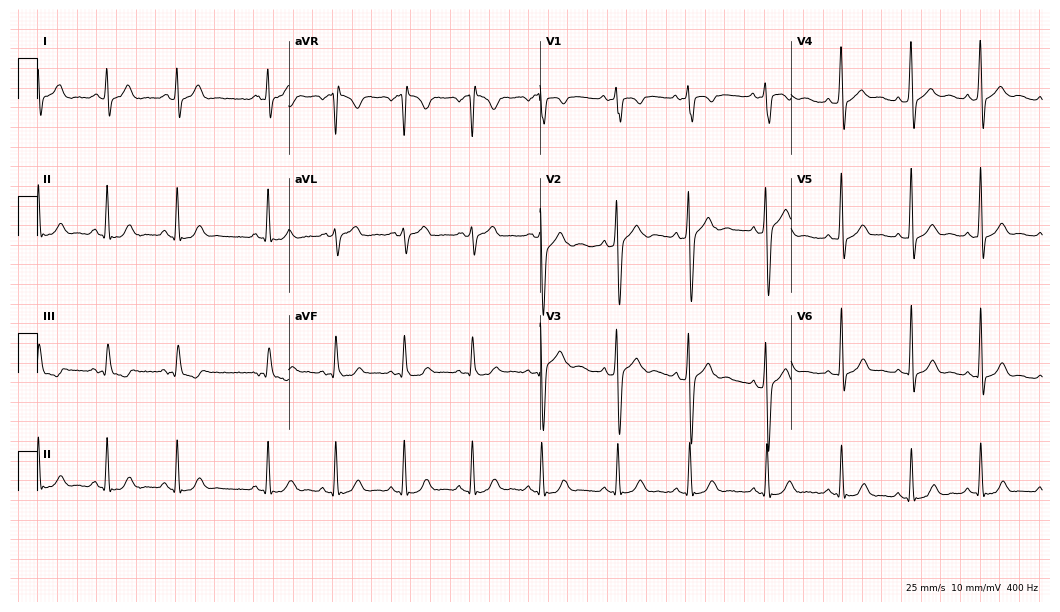
12-lead ECG (10.2-second recording at 400 Hz) from a 20-year-old male. Labelled as a normal ECG.